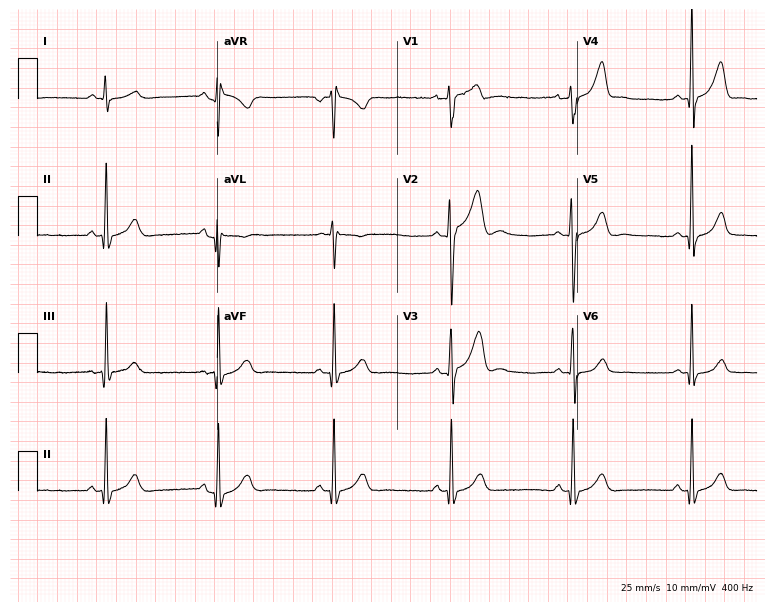
ECG (7.3-second recording at 400 Hz) — a man, 25 years old. Labelled as a normal ECG.